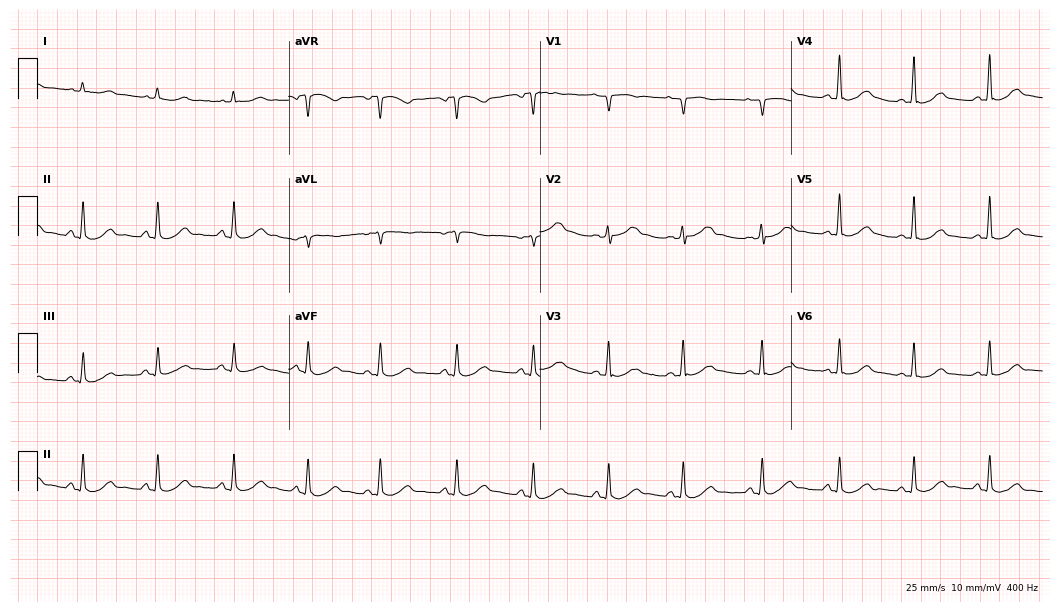
ECG (10.2-second recording at 400 Hz) — a female patient, 61 years old. Screened for six findings — first-degree AV block, right bundle branch block, left bundle branch block, sinus bradycardia, atrial fibrillation, sinus tachycardia — none is recorded.